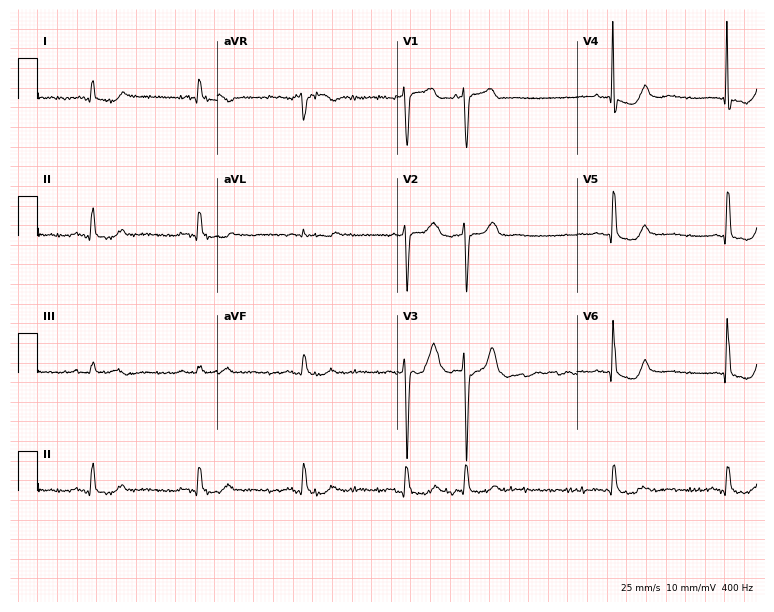
Resting 12-lead electrocardiogram. Patient: a male, 73 years old. None of these six findings is recorded: first-degree AV block, right bundle branch block, left bundle branch block, sinus bradycardia, atrial fibrillation, sinus tachycardia.